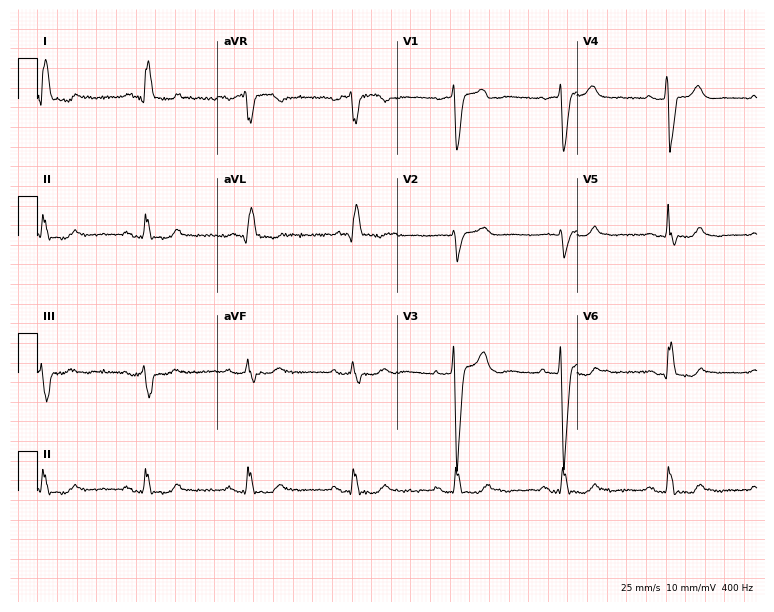
Standard 12-lead ECG recorded from a 59-year-old woman. The tracing shows left bundle branch block.